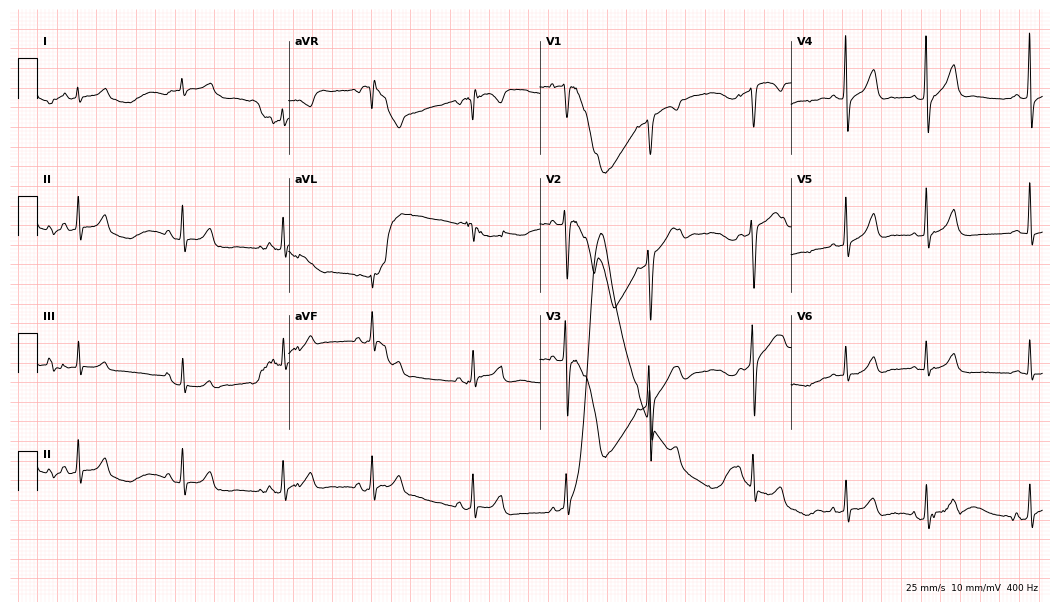
Standard 12-lead ECG recorded from a female, 19 years old (10.2-second recording at 400 Hz). None of these six findings is recorded: first-degree AV block, right bundle branch block, left bundle branch block, sinus bradycardia, atrial fibrillation, sinus tachycardia. Other findings, if any, are not listed.